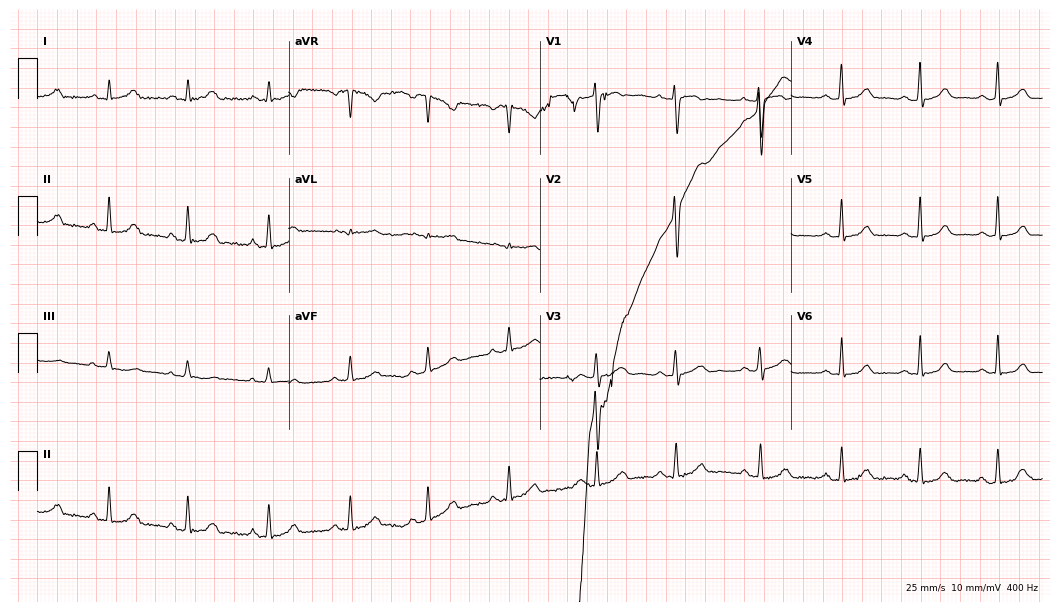
ECG (10.2-second recording at 400 Hz) — a 27-year-old female patient. Labelled as a normal ECG.